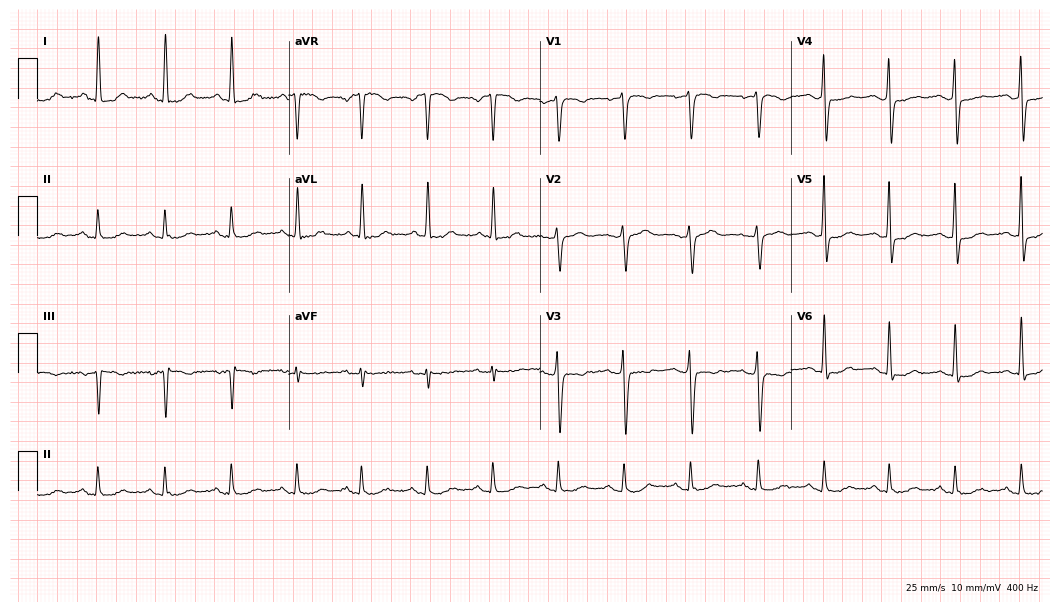
Resting 12-lead electrocardiogram (10.2-second recording at 400 Hz). Patient: a 56-year-old female. None of these six findings is recorded: first-degree AV block, right bundle branch block, left bundle branch block, sinus bradycardia, atrial fibrillation, sinus tachycardia.